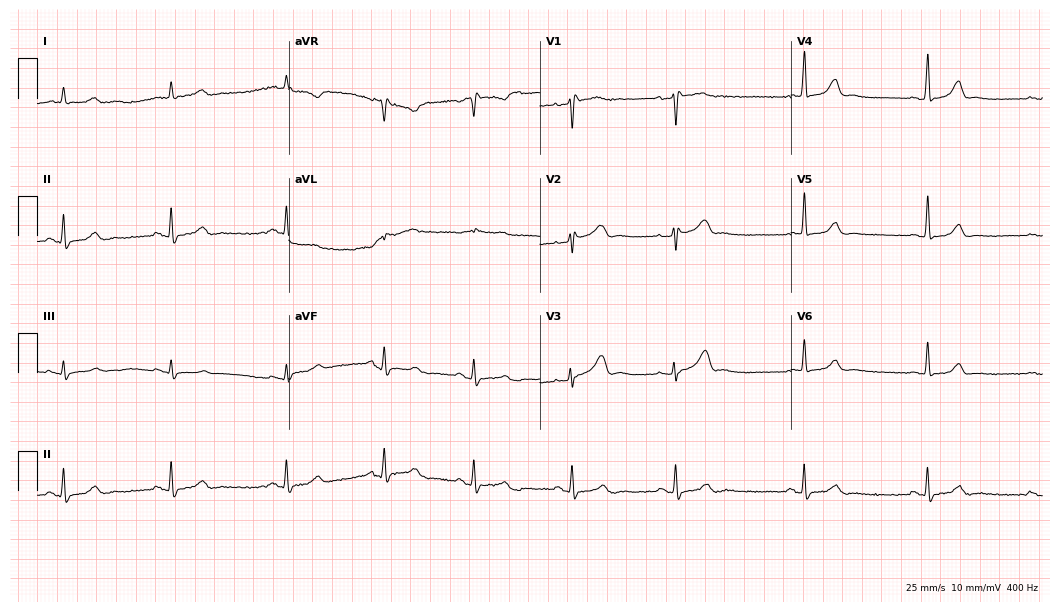
Standard 12-lead ECG recorded from a 37-year-old female (10.2-second recording at 400 Hz). None of these six findings is recorded: first-degree AV block, right bundle branch block, left bundle branch block, sinus bradycardia, atrial fibrillation, sinus tachycardia. Only these six findings were labelled.